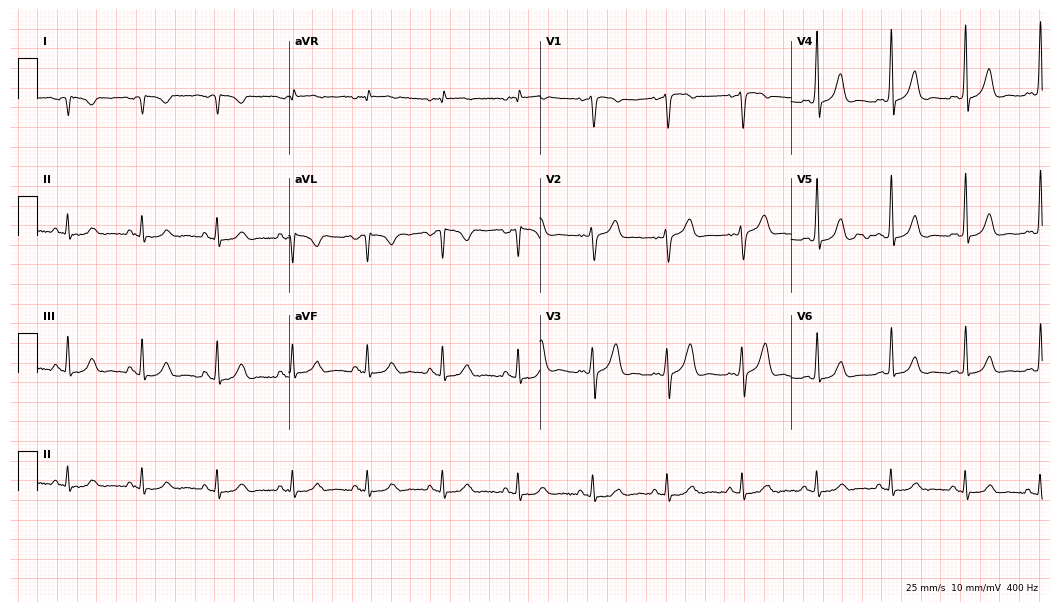
Electrocardiogram, a 70-year-old male. Of the six screened findings (first-degree AV block, right bundle branch block (RBBB), left bundle branch block (LBBB), sinus bradycardia, atrial fibrillation (AF), sinus tachycardia), none is recorded.